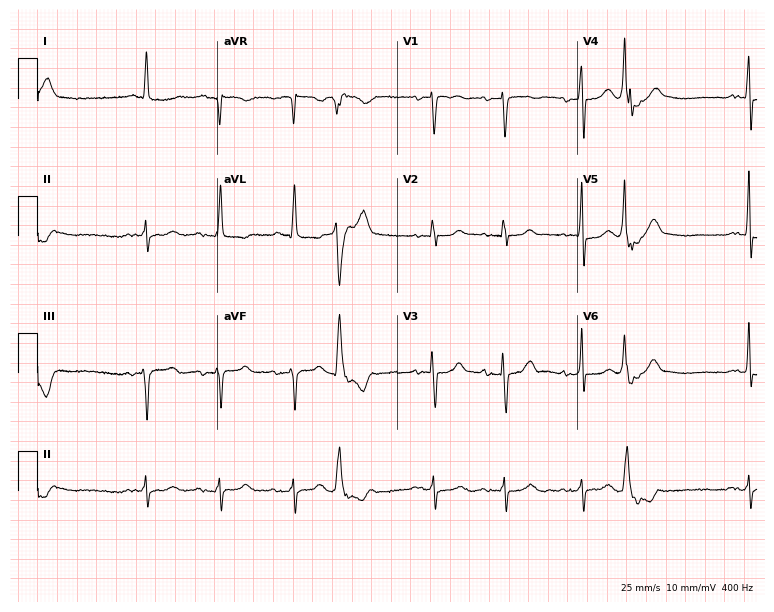
Electrocardiogram (7.3-second recording at 400 Hz), a 77-year-old woman. Of the six screened findings (first-degree AV block, right bundle branch block (RBBB), left bundle branch block (LBBB), sinus bradycardia, atrial fibrillation (AF), sinus tachycardia), none is recorded.